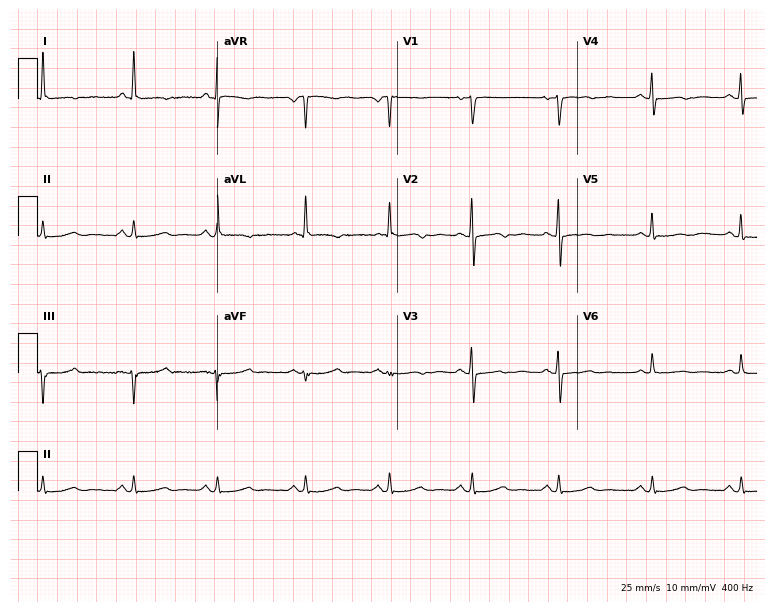
Standard 12-lead ECG recorded from a female, 62 years old (7.3-second recording at 400 Hz). None of these six findings is recorded: first-degree AV block, right bundle branch block, left bundle branch block, sinus bradycardia, atrial fibrillation, sinus tachycardia. Other findings, if any, are not listed.